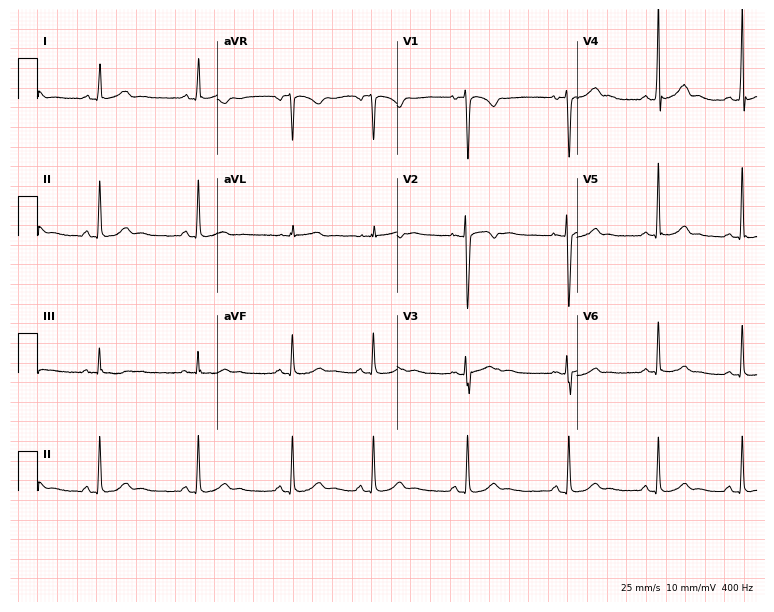
Standard 12-lead ECG recorded from a 17-year-old female patient. None of these six findings is recorded: first-degree AV block, right bundle branch block, left bundle branch block, sinus bradycardia, atrial fibrillation, sinus tachycardia.